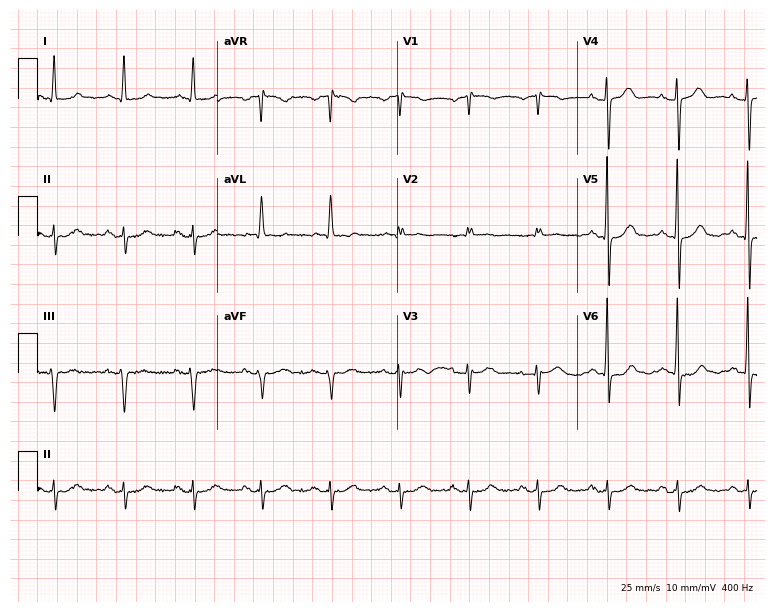
12-lead ECG from a 63-year-old female. No first-degree AV block, right bundle branch block (RBBB), left bundle branch block (LBBB), sinus bradycardia, atrial fibrillation (AF) or sinus tachycardia recorded for this tracing.